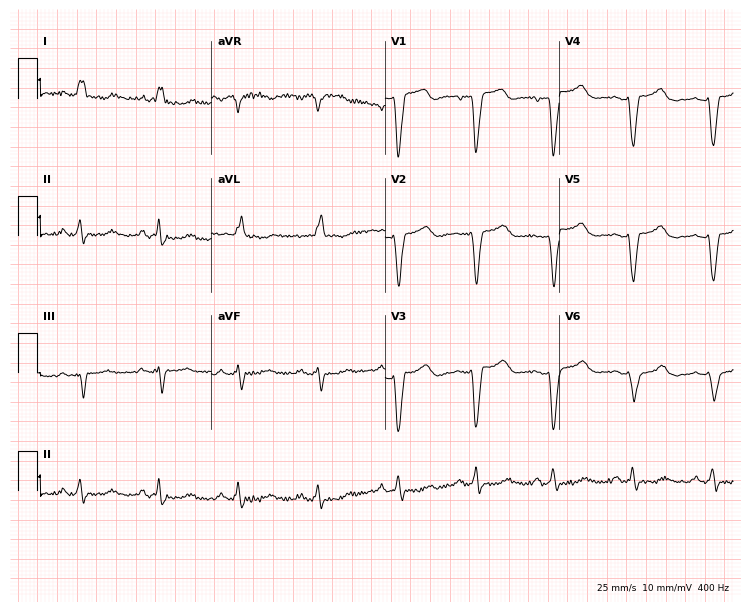
Electrocardiogram (7.1-second recording at 400 Hz), a female, 59 years old. Interpretation includes left bundle branch block (LBBB).